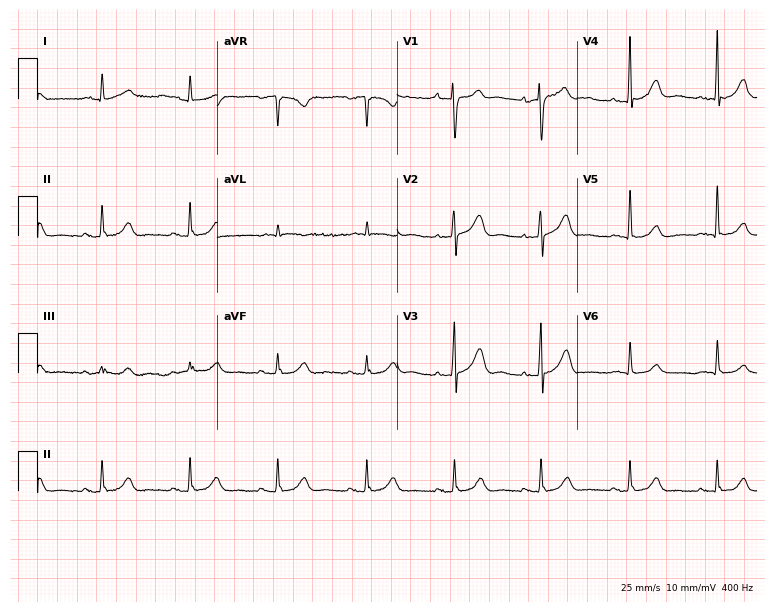
Standard 12-lead ECG recorded from an 85-year-old man. Read as a normal ECG.